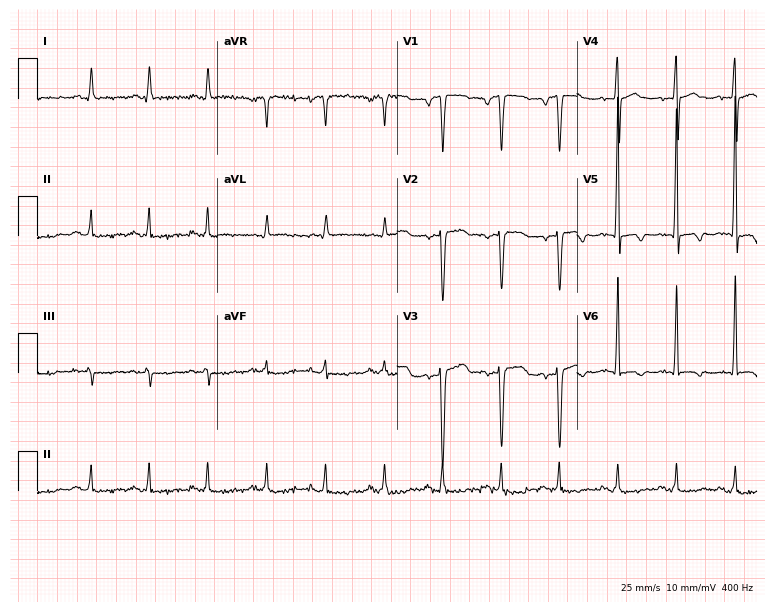
Standard 12-lead ECG recorded from a 74-year-old male (7.3-second recording at 400 Hz). The tracing shows sinus tachycardia (a sinus rate of 100 beats per minute or more).